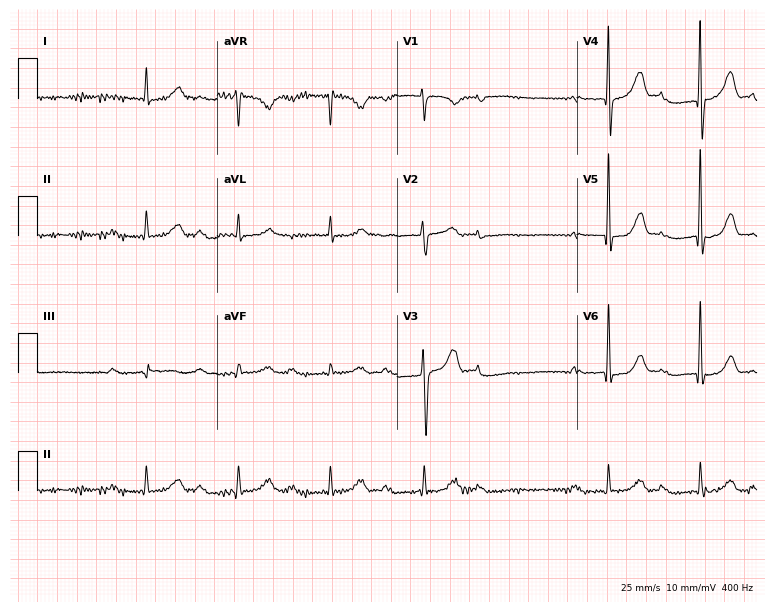
12-lead ECG (7.3-second recording at 400 Hz) from a 75-year-old male. Screened for six findings — first-degree AV block, right bundle branch block, left bundle branch block, sinus bradycardia, atrial fibrillation, sinus tachycardia — none is recorded.